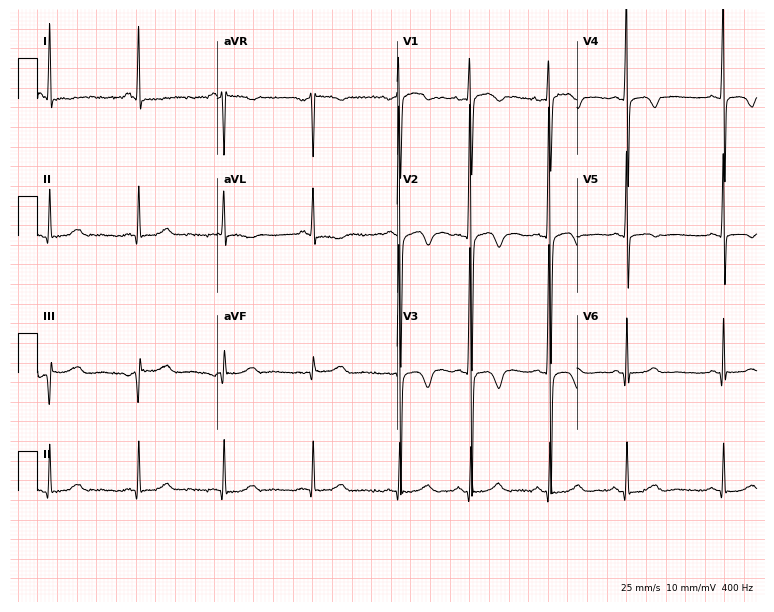
Resting 12-lead electrocardiogram (7.3-second recording at 400 Hz). Patient: a 17-year-old woman. None of these six findings is recorded: first-degree AV block, right bundle branch block (RBBB), left bundle branch block (LBBB), sinus bradycardia, atrial fibrillation (AF), sinus tachycardia.